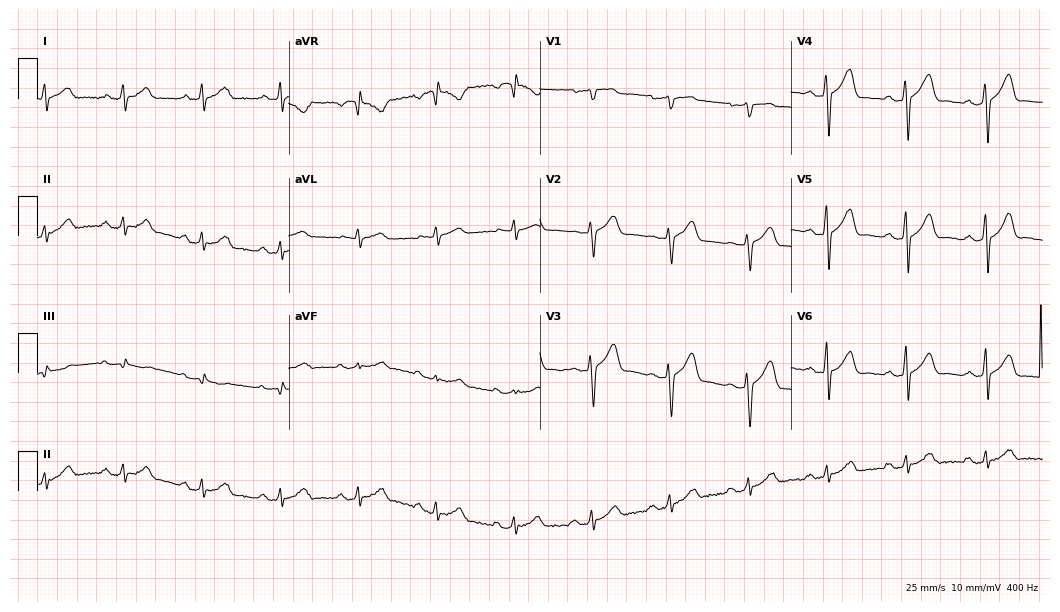
Resting 12-lead electrocardiogram (10.2-second recording at 400 Hz). Patient: a 58-year-old male. Read as a normal ECG.